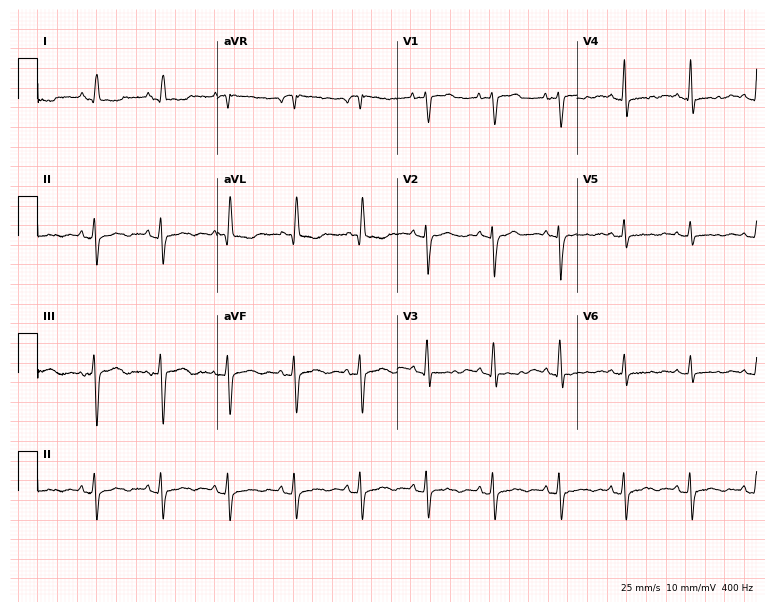
Standard 12-lead ECG recorded from a woman, 74 years old (7.3-second recording at 400 Hz). None of these six findings is recorded: first-degree AV block, right bundle branch block, left bundle branch block, sinus bradycardia, atrial fibrillation, sinus tachycardia.